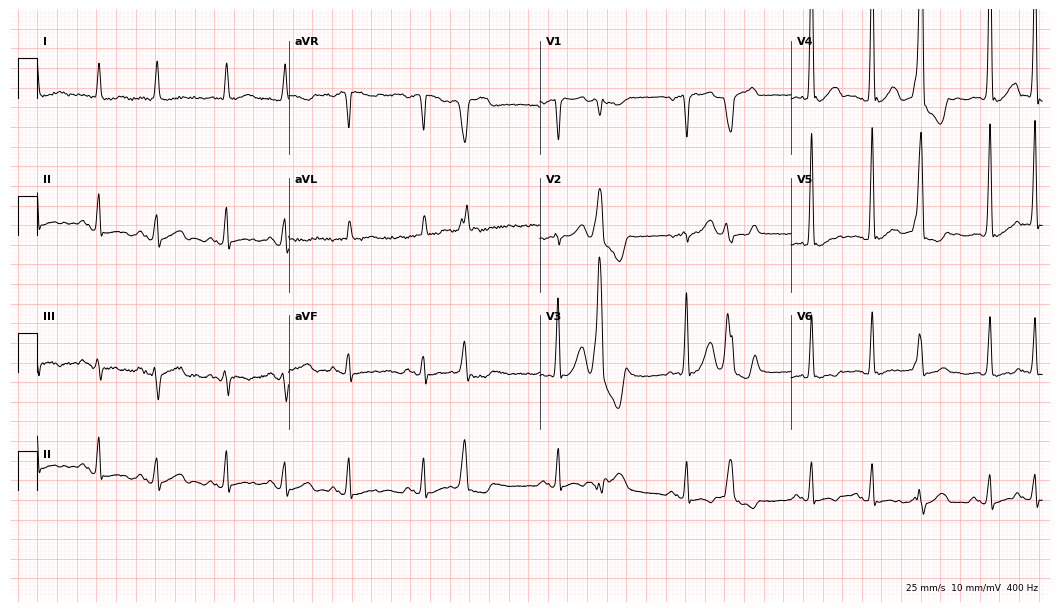
12-lead ECG (10.2-second recording at 400 Hz) from a male patient, 65 years old. Screened for six findings — first-degree AV block, right bundle branch block, left bundle branch block, sinus bradycardia, atrial fibrillation, sinus tachycardia — none is recorded.